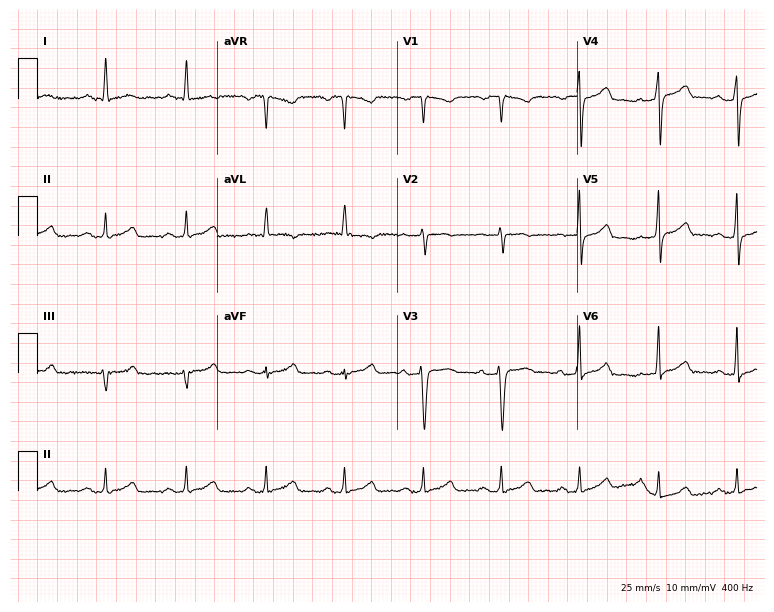
ECG (7.3-second recording at 400 Hz) — a female, 39 years old. Labelled as a normal ECG.